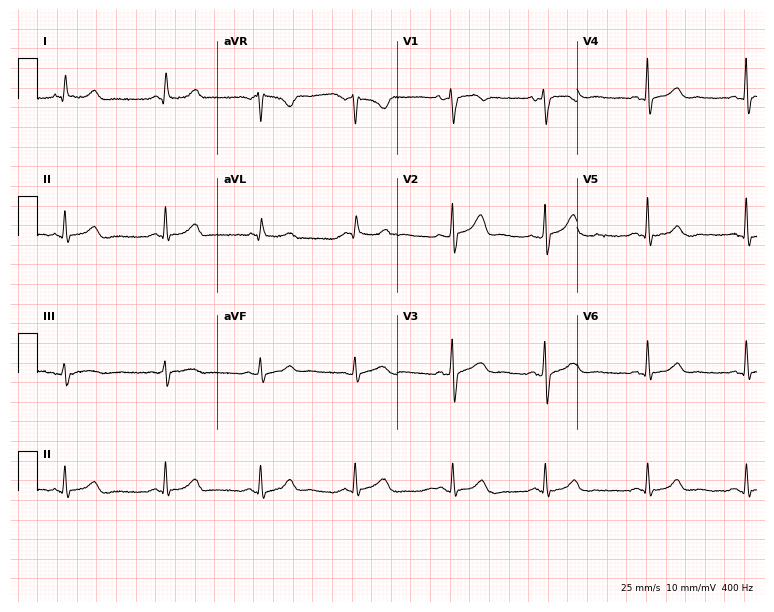
Electrocardiogram (7.3-second recording at 400 Hz), a woman, 58 years old. Of the six screened findings (first-degree AV block, right bundle branch block, left bundle branch block, sinus bradycardia, atrial fibrillation, sinus tachycardia), none is recorded. Only these six findings were labelled.